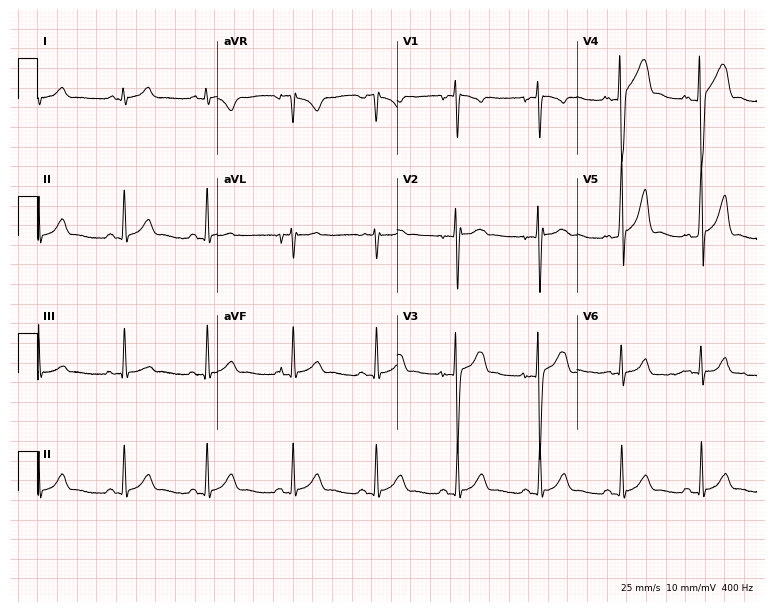
12-lead ECG from a man, 19 years old. No first-degree AV block, right bundle branch block, left bundle branch block, sinus bradycardia, atrial fibrillation or sinus tachycardia recorded for this tracing.